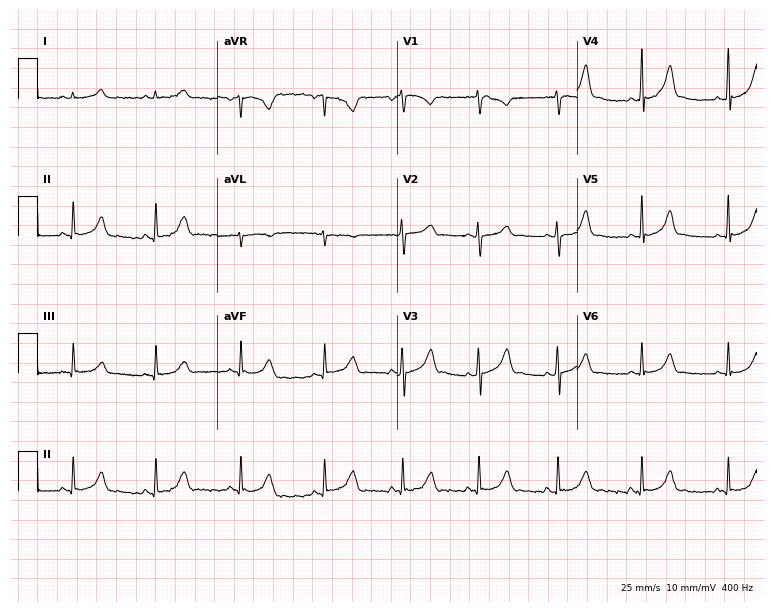
Standard 12-lead ECG recorded from an 18-year-old woman (7.3-second recording at 400 Hz). Read as a normal ECG.